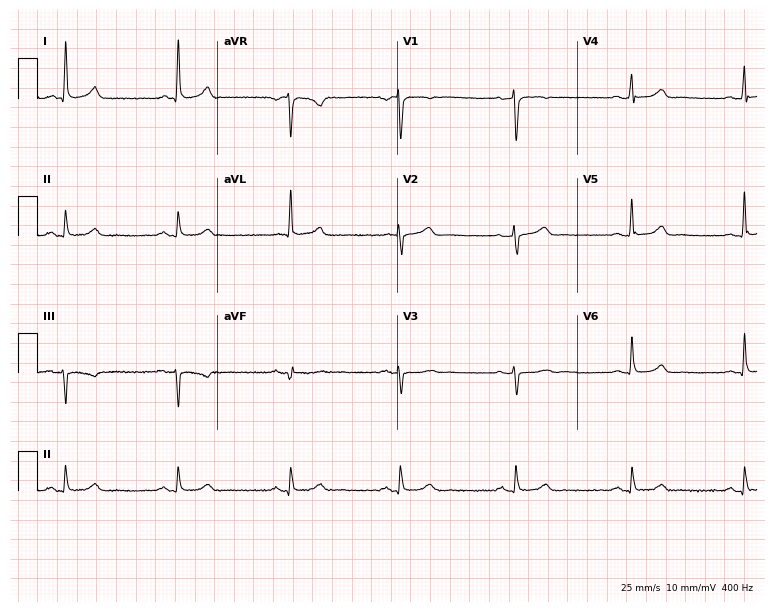
Standard 12-lead ECG recorded from a woman, 54 years old. None of these six findings is recorded: first-degree AV block, right bundle branch block, left bundle branch block, sinus bradycardia, atrial fibrillation, sinus tachycardia. Other findings, if any, are not listed.